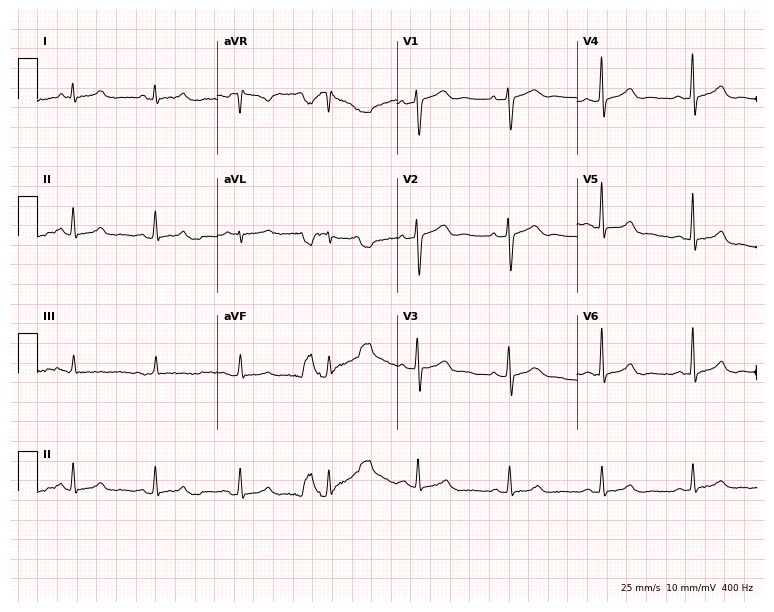
ECG — a 42-year-old male. Screened for six findings — first-degree AV block, right bundle branch block, left bundle branch block, sinus bradycardia, atrial fibrillation, sinus tachycardia — none is recorded. Other findings, if any, are not listed.